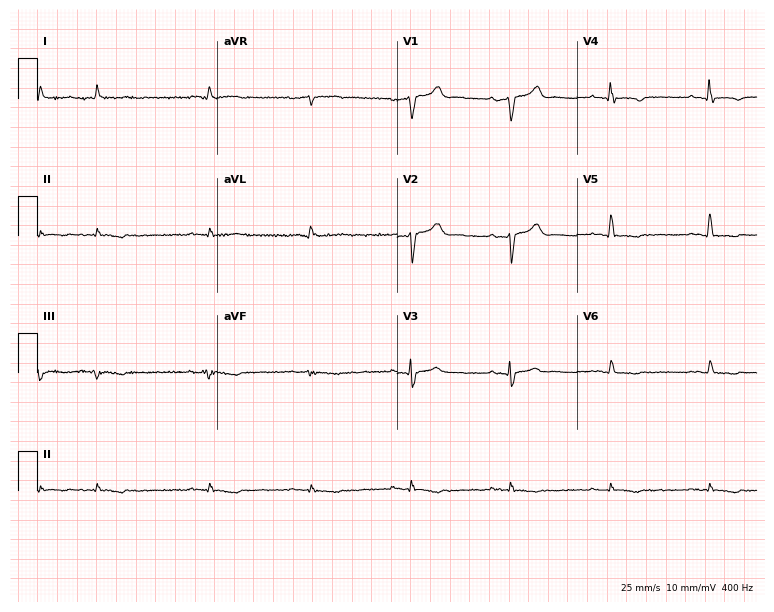
ECG — a man, 58 years old. Screened for six findings — first-degree AV block, right bundle branch block (RBBB), left bundle branch block (LBBB), sinus bradycardia, atrial fibrillation (AF), sinus tachycardia — none is recorded. Findings outside these six are not listed.